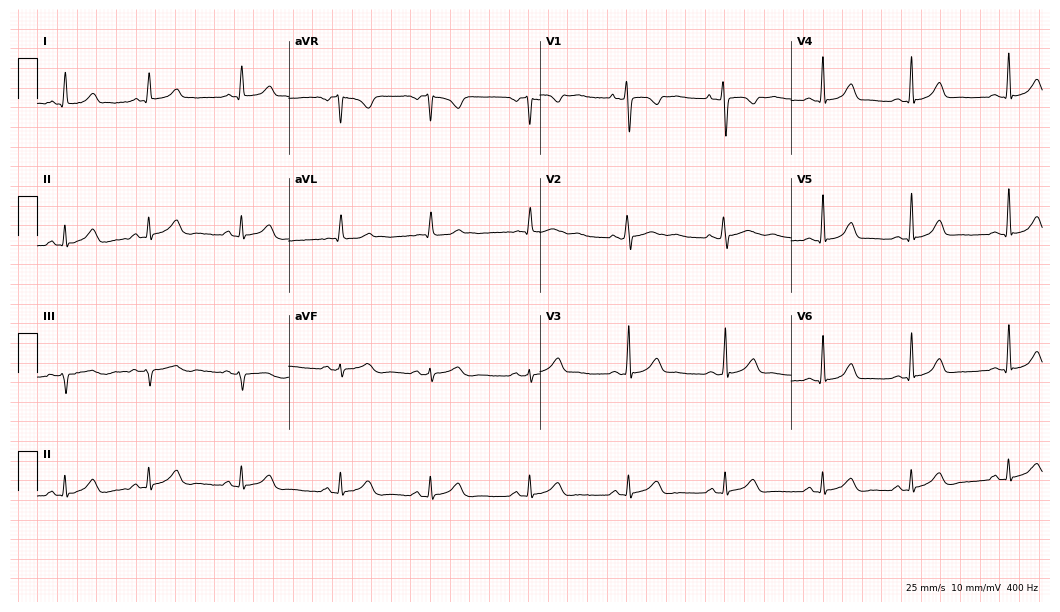
ECG — a female patient, 23 years old. Screened for six findings — first-degree AV block, right bundle branch block, left bundle branch block, sinus bradycardia, atrial fibrillation, sinus tachycardia — none is recorded.